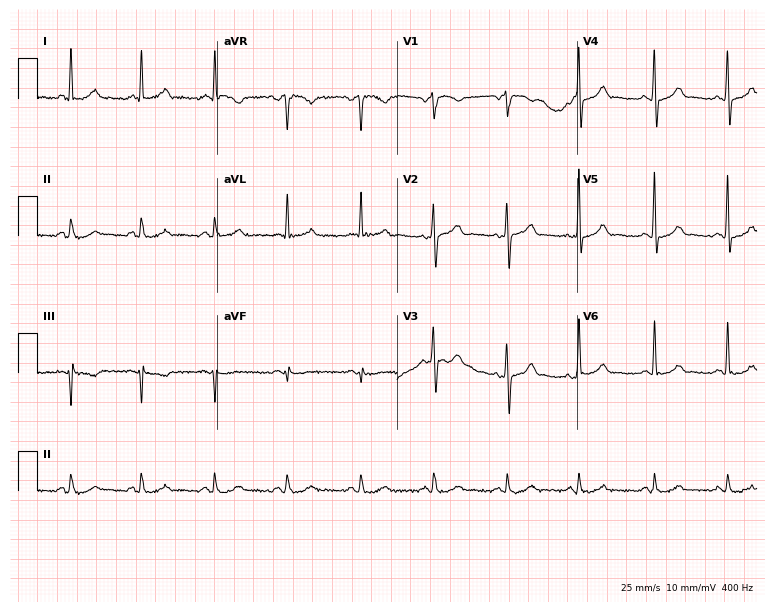
12-lead ECG from a male, 69 years old (7.3-second recording at 400 Hz). Recorded interpretation: within normal limits.